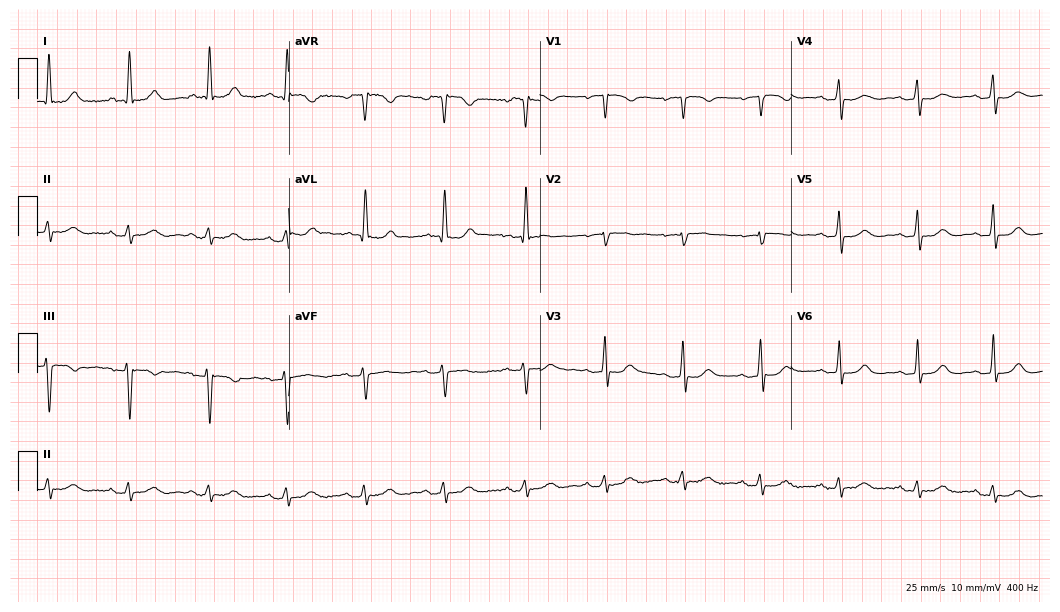
Resting 12-lead electrocardiogram. Patient: a 67-year-old female. None of these six findings is recorded: first-degree AV block, right bundle branch block, left bundle branch block, sinus bradycardia, atrial fibrillation, sinus tachycardia.